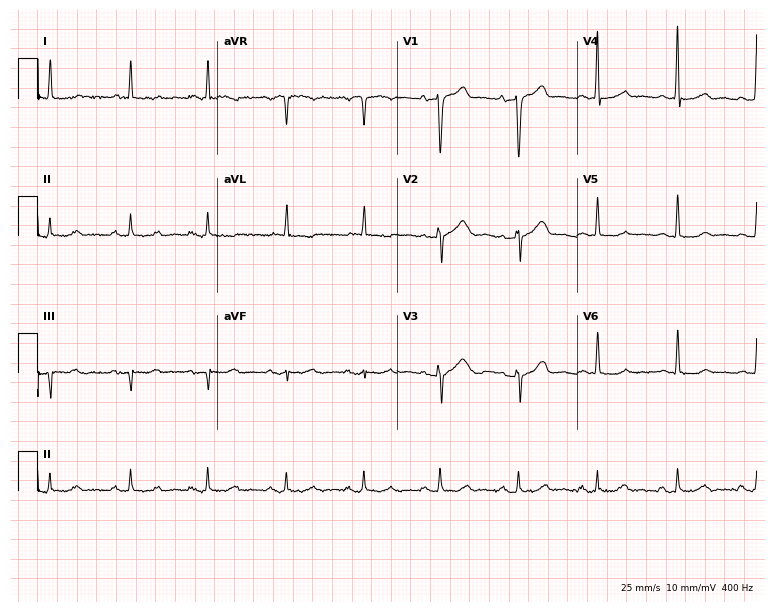
Electrocardiogram, a male patient, 70 years old. Of the six screened findings (first-degree AV block, right bundle branch block, left bundle branch block, sinus bradycardia, atrial fibrillation, sinus tachycardia), none is recorded. Other findings, if any, are not listed.